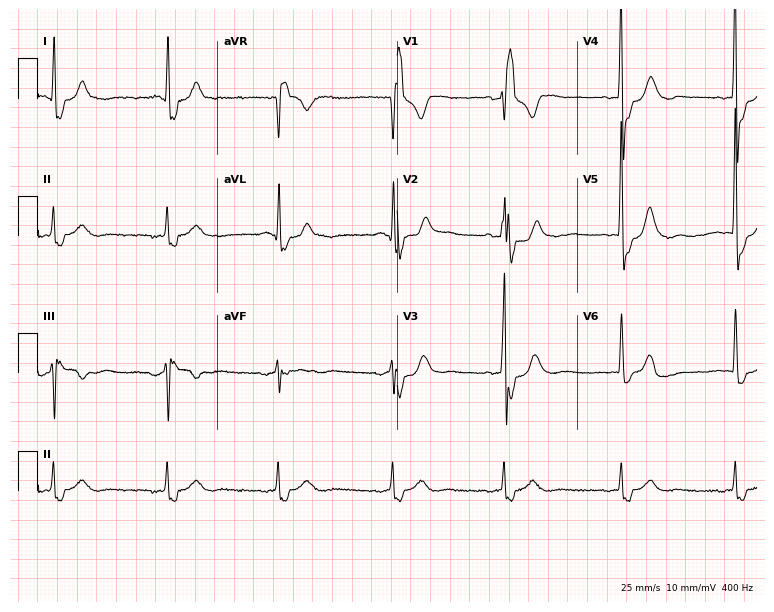
ECG (7.3-second recording at 400 Hz) — a 74-year-old man. Findings include right bundle branch block.